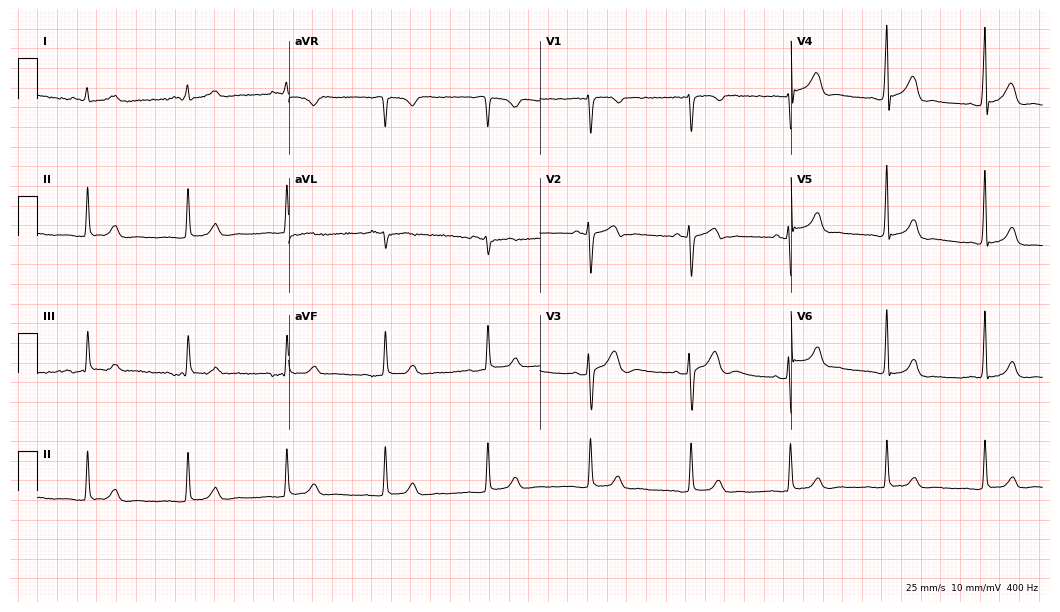
12-lead ECG from a man, 37 years old (10.2-second recording at 400 Hz). No first-degree AV block, right bundle branch block (RBBB), left bundle branch block (LBBB), sinus bradycardia, atrial fibrillation (AF) or sinus tachycardia recorded for this tracing.